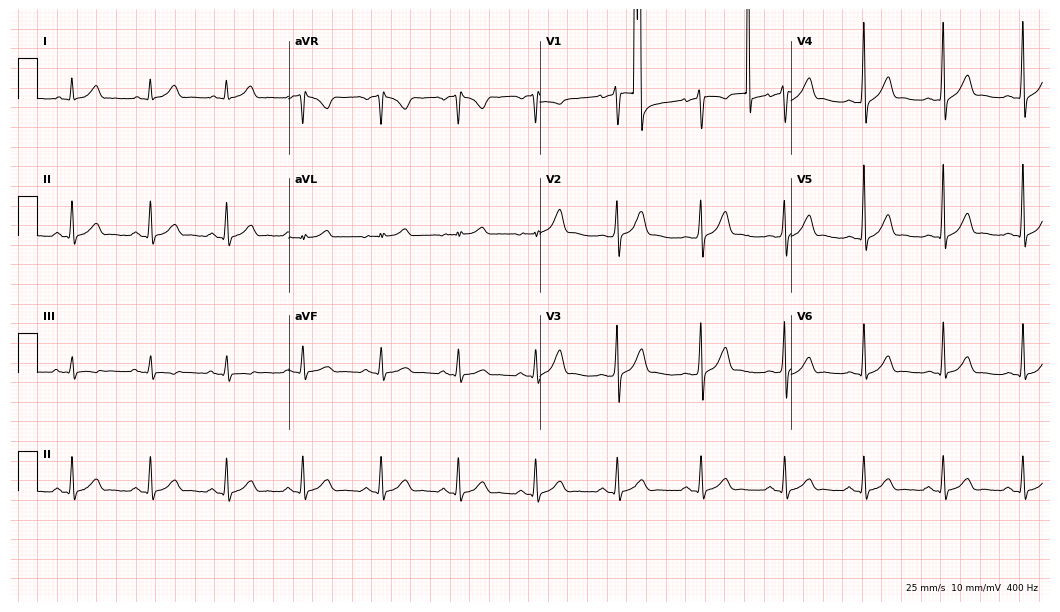
Electrocardiogram (10.2-second recording at 400 Hz), a 28-year-old male patient. Of the six screened findings (first-degree AV block, right bundle branch block, left bundle branch block, sinus bradycardia, atrial fibrillation, sinus tachycardia), none is recorded. Only these six findings were labelled.